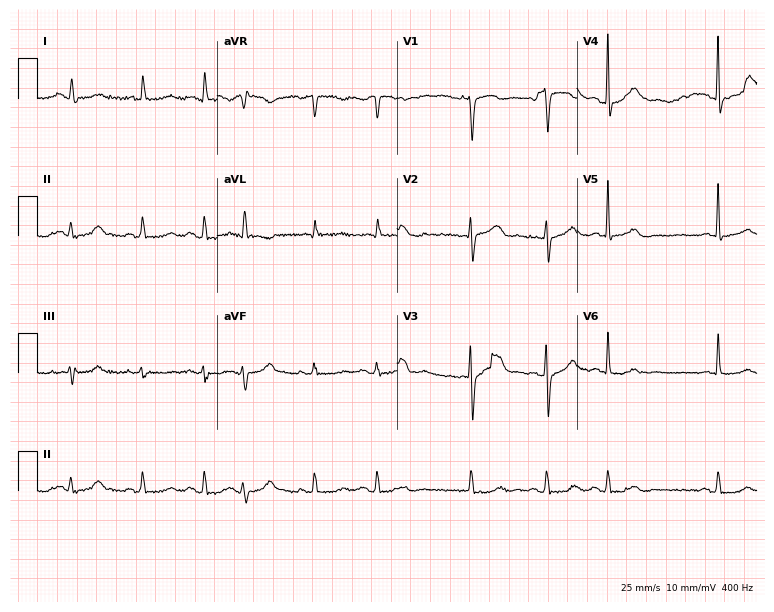
12-lead ECG from a woman, 83 years old (7.3-second recording at 400 Hz). No first-degree AV block, right bundle branch block (RBBB), left bundle branch block (LBBB), sinus bradycardia, atrial fibrillation (AF) or sinus tachycardia recorded for this tracing. Other findings, if any, are not listed.